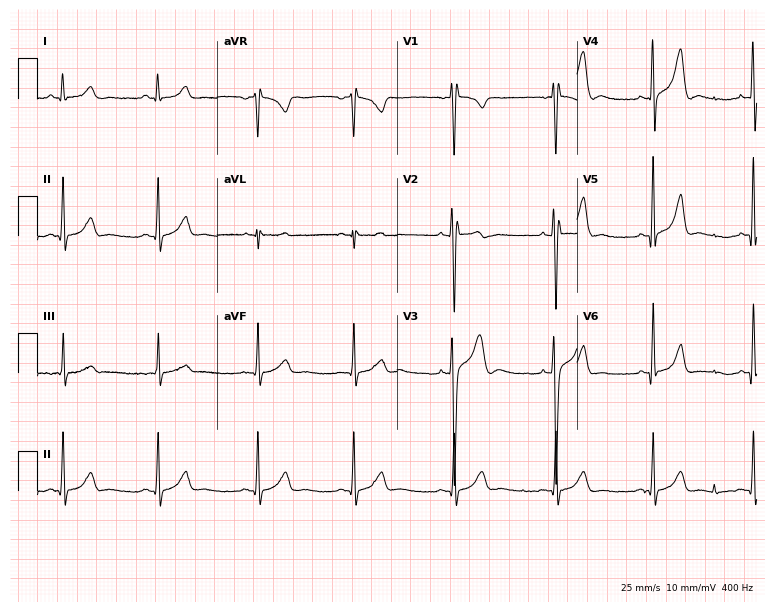
Standard 12-lead ECG recorded from a 19-year-old male. None of these six findings is recorded: first-degree AV block, right bundle branch block, left bundle branch block, sinus bradycardia, atrial fibrillation, sinus tachycardia.